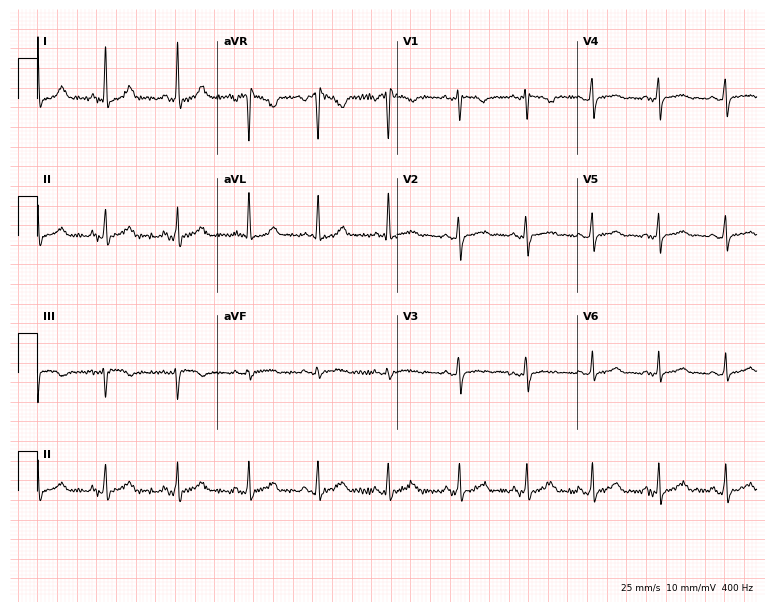
Electrocardiogram (7.3-second recording at 400 Hz), a female, 21 years old. Of the six screened findings (first-degree AV block, right bundle branch block (RBBB), left bundle branch block (LBBB), sinus bradycardia, atrial fibrillation (AF), sinus tachycardia), none is recorded. Other findings, if any, are not listed.